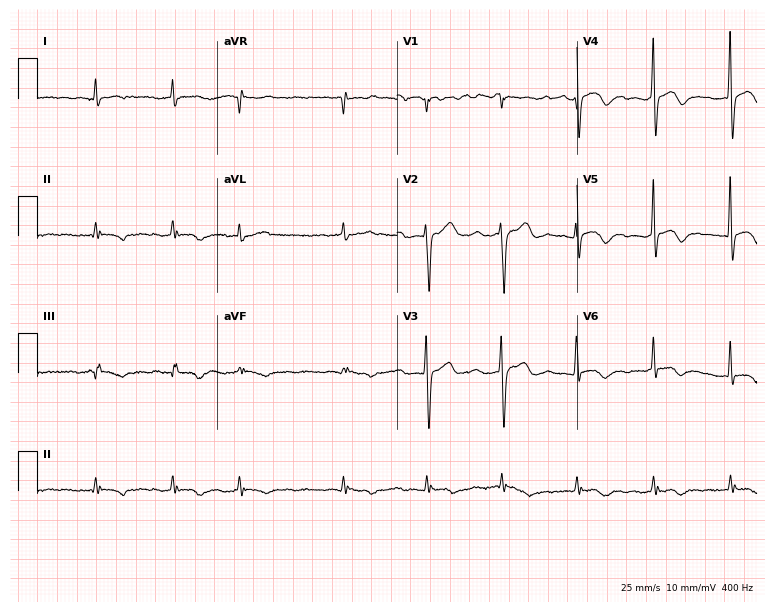
12-lead ECG (7.3-second recording at 400 Hz) from a 78-year-old male patient. Findings include atrial fibrillation.